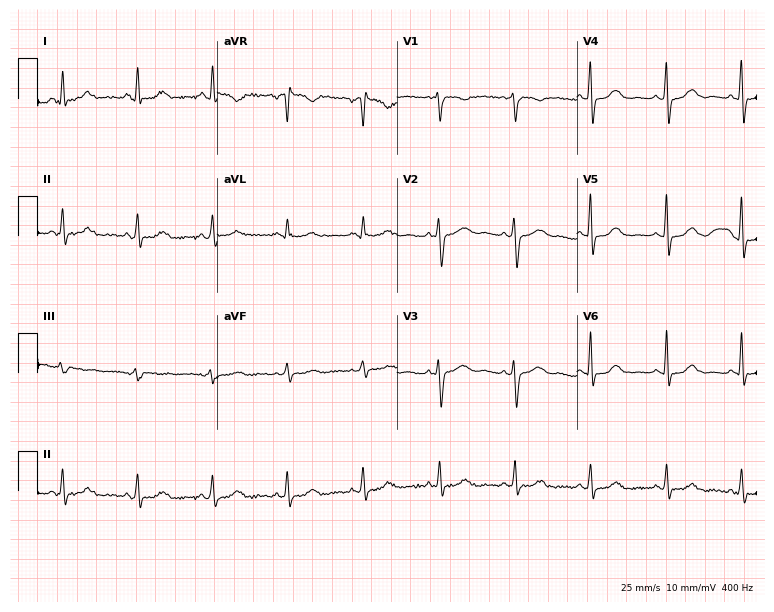
ECG (7.3-second recording at 400 Hz) — a female patient, 48 years old. Screened for six findings — first-degree AV block, right bundle branch block, left bundle branch block, sinus bradycardia, atrial fibrillation, sinus tachycardia — none is recorded. Findings outside these six are not listed.